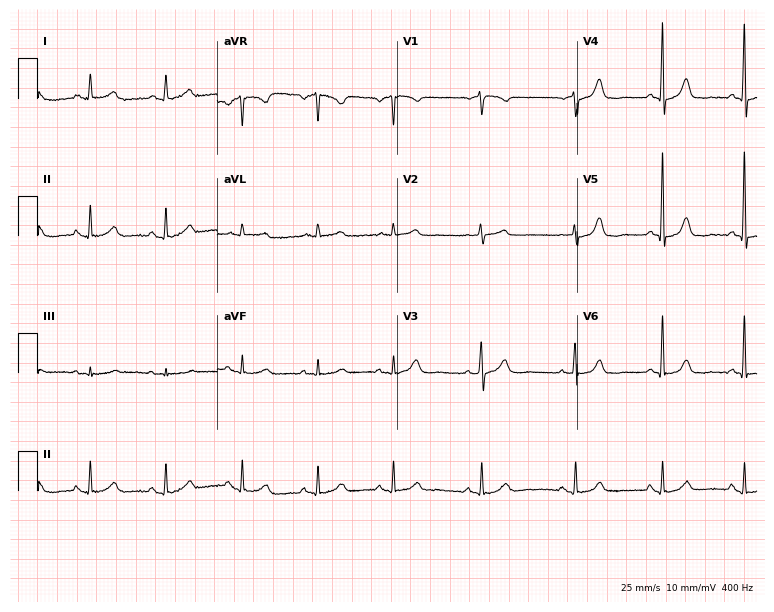
Resting 12-lead electrocardiogram. Patient: a female, 80 years old. Read as a normal ECG.